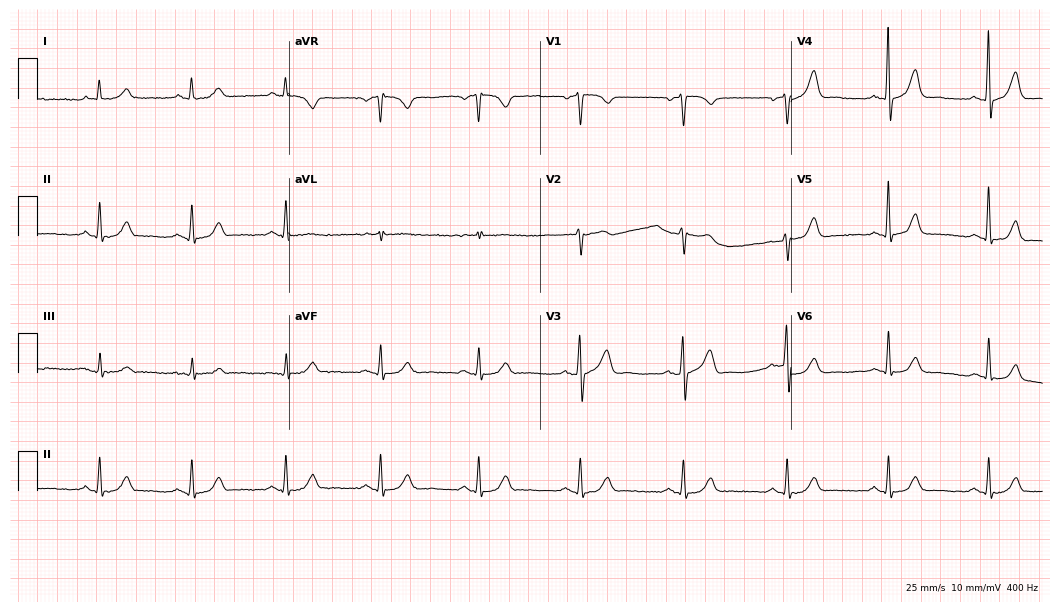
Standard 12-lead ECG recorded from a 64-year-old male patient (10.2-second recording at 400 Hz). Read as a normal ECG.